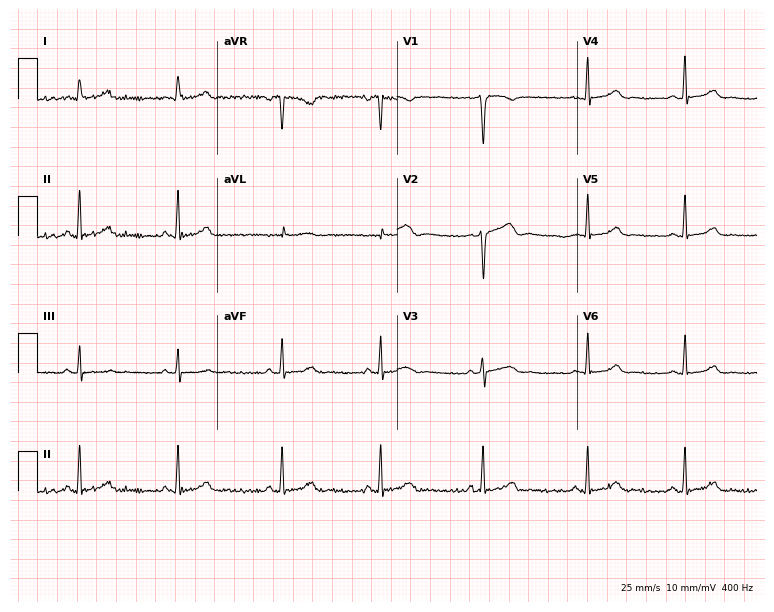
Standard 12-lead ECG recorded from a female, 21 years old (7.3-second recording at 400 Hz). Read as a normal ECG.